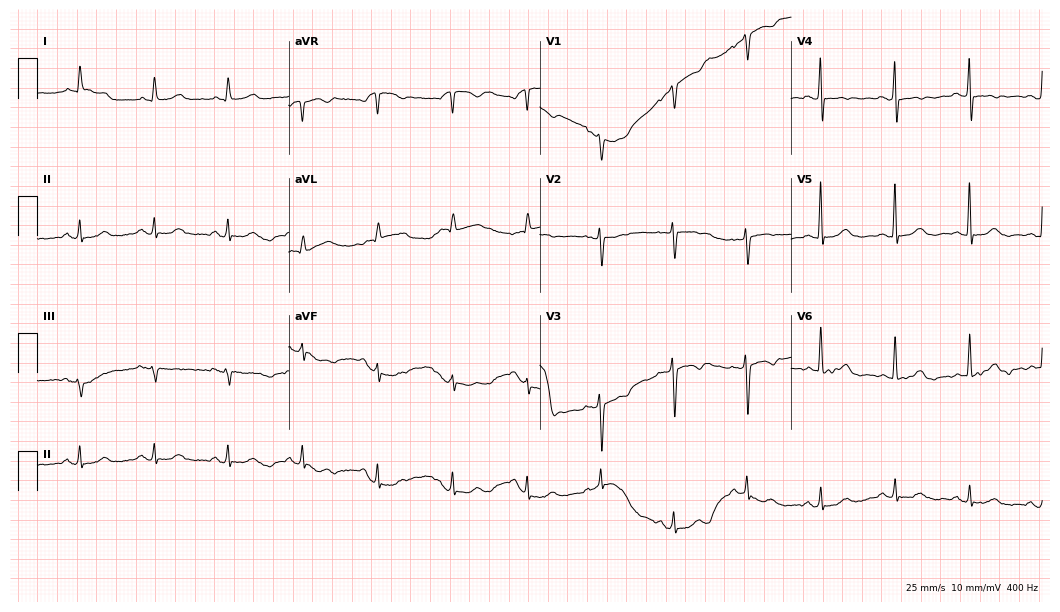
12-lead ECG from a 69-year-old woman (10.2-second recording at 400 Hz). No first-degree AV block, right bundle branch block, left bundle branch block, sinus bradycardia, atrial fibrillation or sinus tachycardia recorded for this tracing.